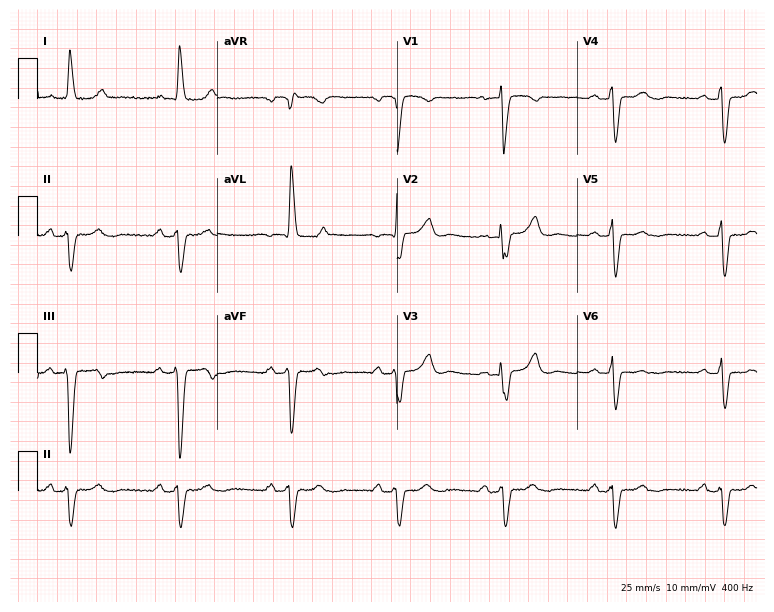
ECG — a female, 63 years old. Findings include left bundle branch block.